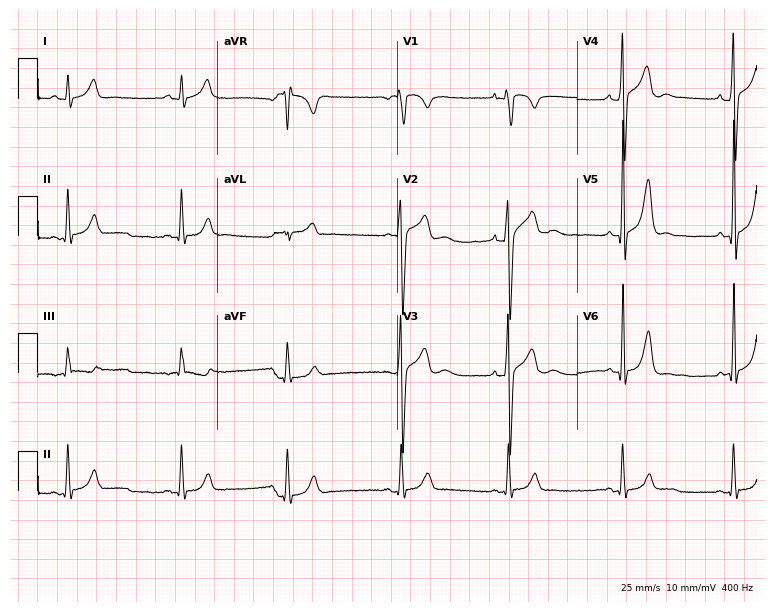
12-lead ECG from a 17-year-old man (7.3-second recording at 400 Hz). No first-degree AV block, right bundle branch block, left bundle branch block, sinus bradycardia, atrial fibrillation or sinus tachycardia recorded for this tracing.